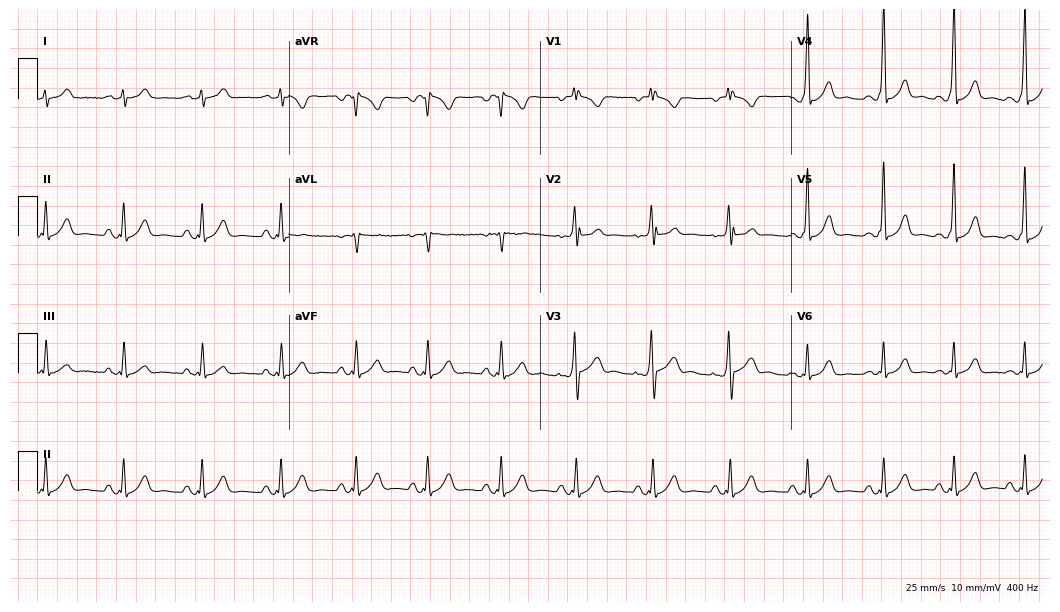
Resting 12-lead electrocardiogram (10.2-second recording at 400 Hz). Patient: a female, 27 years old. None of these six findings is recorded: first-degree AV block, right bundle branch block, left bundle branch block, sinus bradycardia, atrial fibrillation, sinus tachycardia.